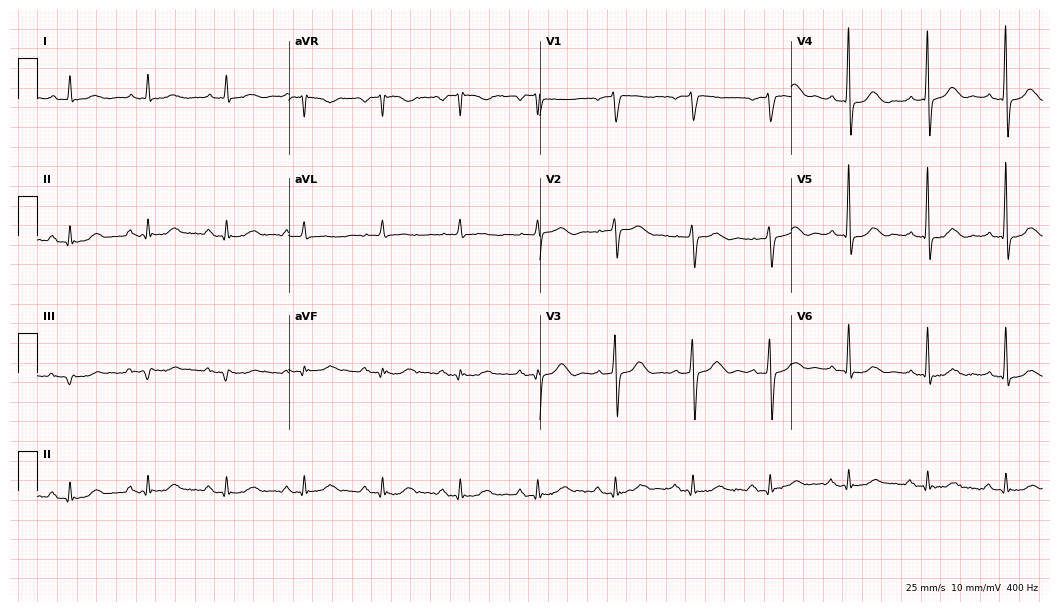
Electrocardiogram, an 82-year-old male. Overall reading on record: normal ECG.